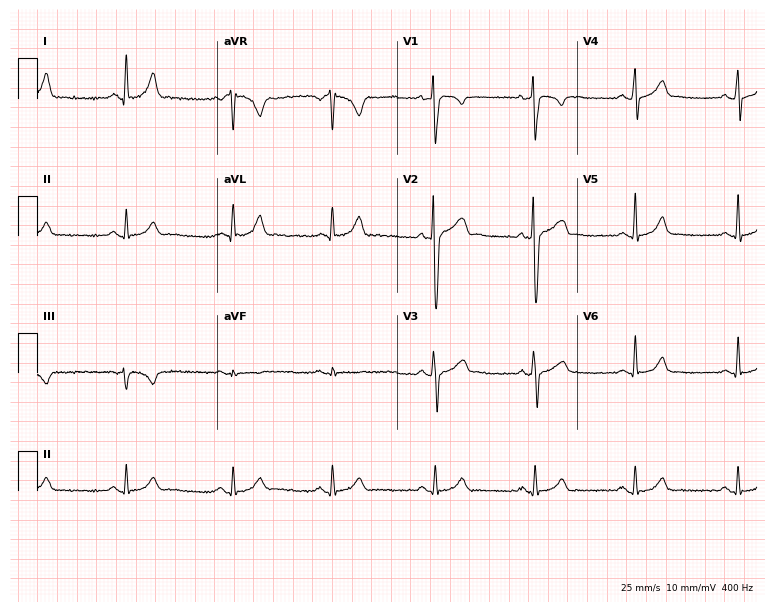
Standard 12-lead ECG recorded from a 25-year-old man (7.3-second recording at 400 Hz). None of these six findings is recorded: first-degree AV block, right bundle branch block, left bundle branch block, sinus bradycardia, atrial fibrillation, sinus tachycardia. Only these six findings were labelled.